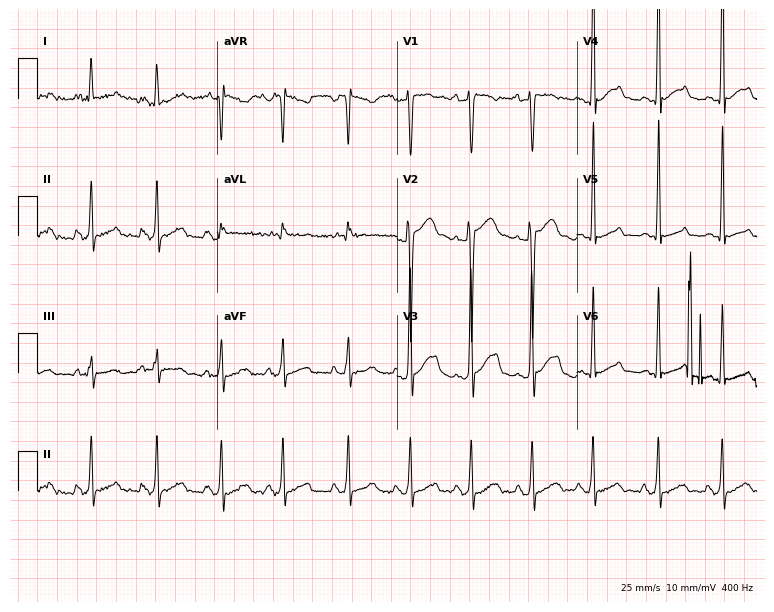
ECG (7.3-second recording at 400 Hz) — a male patient, 30 years old. Screened for six findings — first-degree AV block, right bundle branch block, left bundle branch block, sinus bradycardia, atrial fibrillation, sinus tachycardia — none is recorded. Only these six findings were labelled.